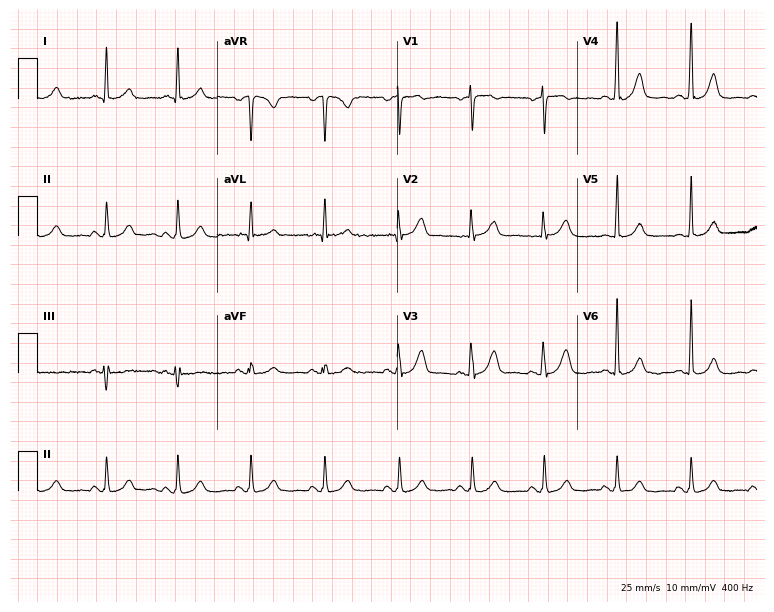
12-lead ECG from a woman, 67 years old. Screened for six findings — first-degree AV block, right bundle branch block, left bundle branch block, sinus bradycardia, atrial fibrillation, sinus tachycardia — none is recorded.